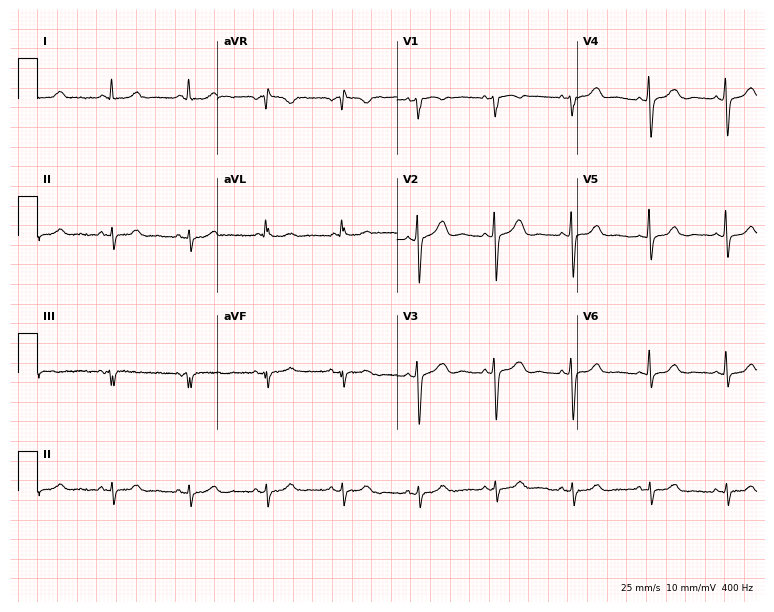
12-lead ECG from a female patient, 68 years old (7.3-second recording at 400 Hz). No first-degree AV block, right bundle branch block, left bundle branch block, sinus bradycardia, atrial fibrillation or sinus tachycardia recorded for this tracing. Findings outside these six are not listed.